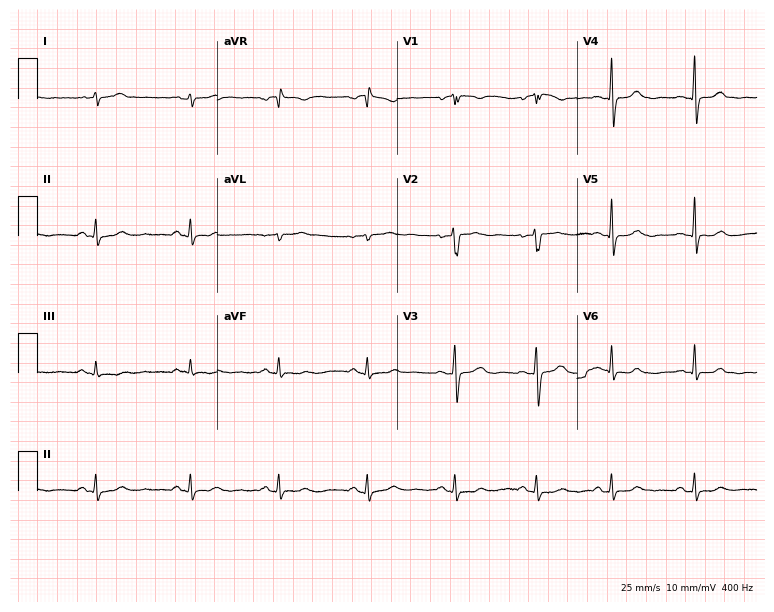
Electrocardiogram, a woman, 31 years old. Of the six screened findings (first-degree AV block, right bundle branch block, left bundle branch block, sinus bradycardia, atrial fibrillation, sinus tachycardia), none is recorded. Only these six findings were labelled.